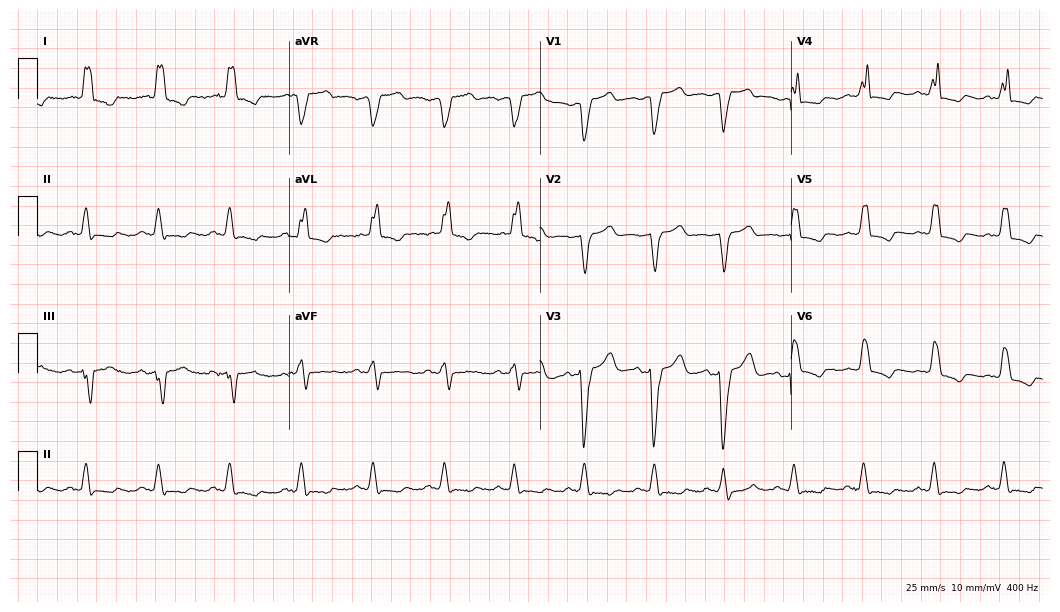
12-lead ECG from an 81-year-old woman (10.2-second recording at 400 Hz). Shows left bundle branch block.